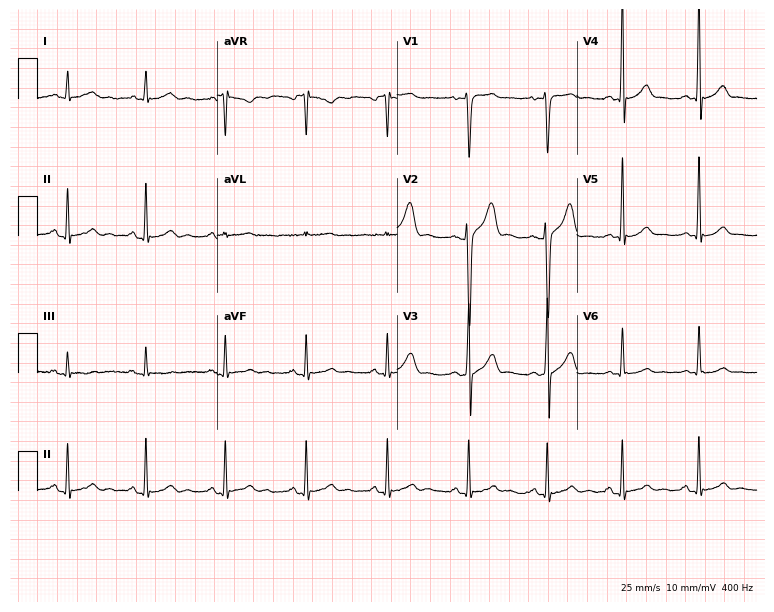
12-lead ECG from a 25-year-old male. Labelled as a normal ECG.